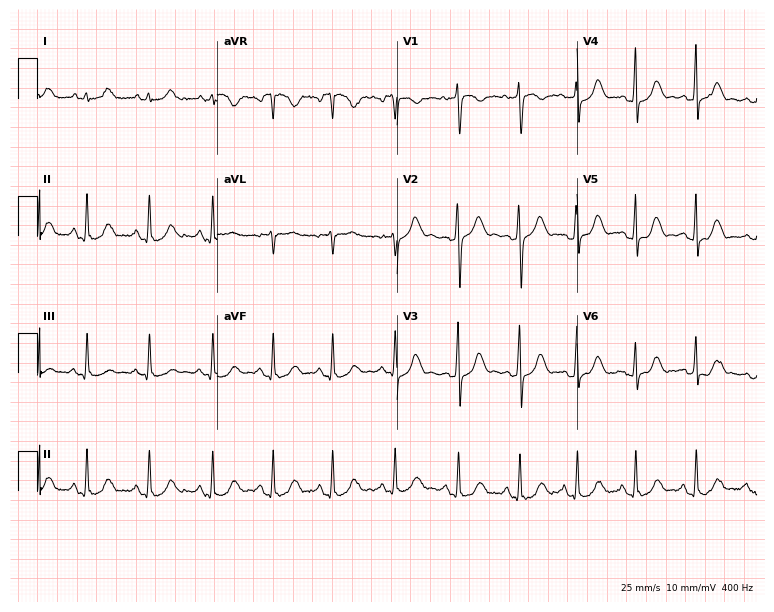
12-lead ECG (7.3-second recording at 400 Hz) from a female patient, 36 years old. Screened for six findings — first-degree AV block, right bundle branch block, left bundle branch block, sinus bradycardia, atrial fibrillation, sinus tachycardia — none is recorded. Only these six findings were labelled.